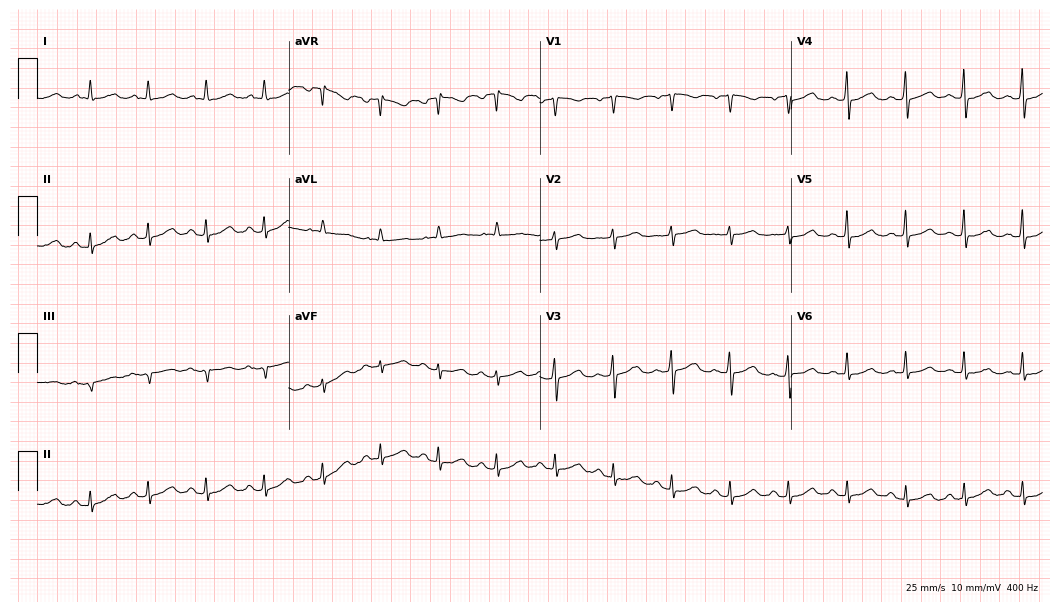
Standard 12-lead ECG recorded from a female patient, 66 years old (10.2-second recording at 400 Hz). The tracing shows sinus tachycardia (a sinus rate of 100 beats per minute or more).